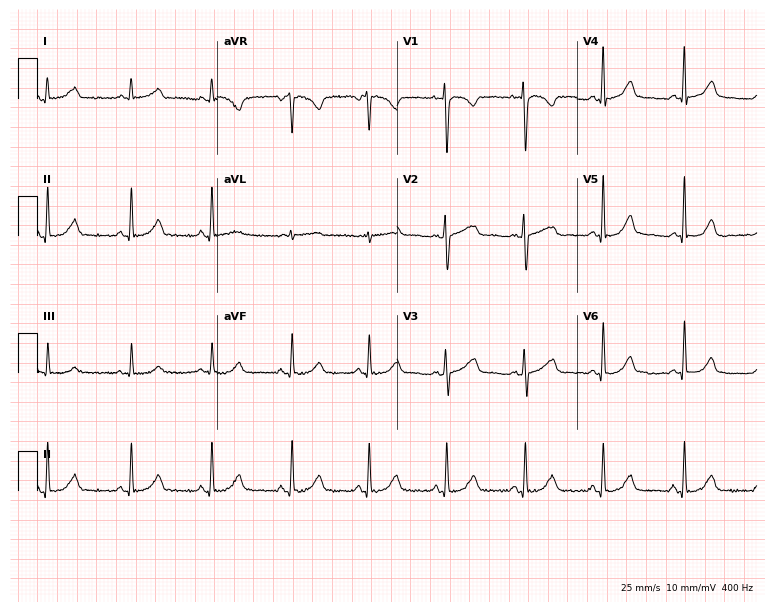
12-lead ECG from a woman, 30 years old. Screened for six findings — first-degree AV block, right bundle branch block (RBBB), left bundle branch block (LBBB), sinus bradycardia, atrial fibrillation (AF), sinus tachycardia — none is recorded.